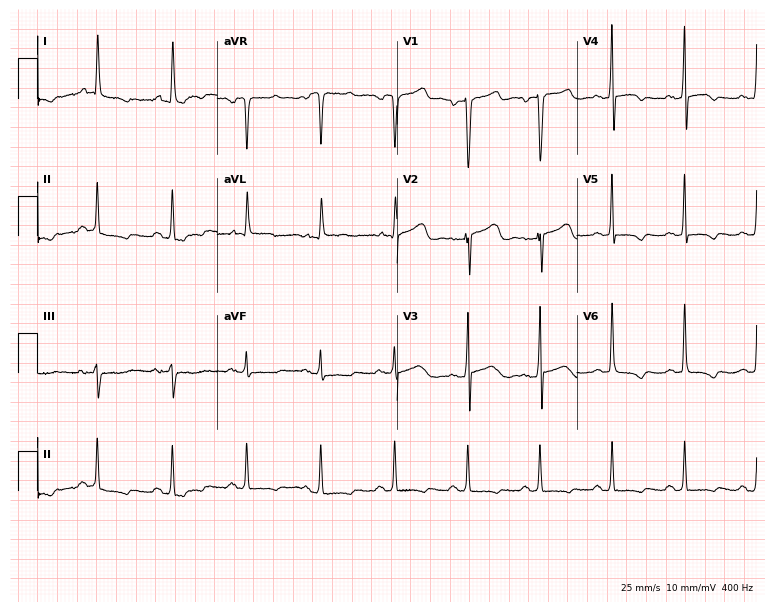
Electrocardiogram, a 62-year-old male. Of the six screened findings (first-degree AV block, right bundle branch block (RBBB), left bundle branch block (LBBB), sinus bradycardia, atrial fibrillation (AF), sinus tachycardia), none is recorded. Findings outside these six are not listed.